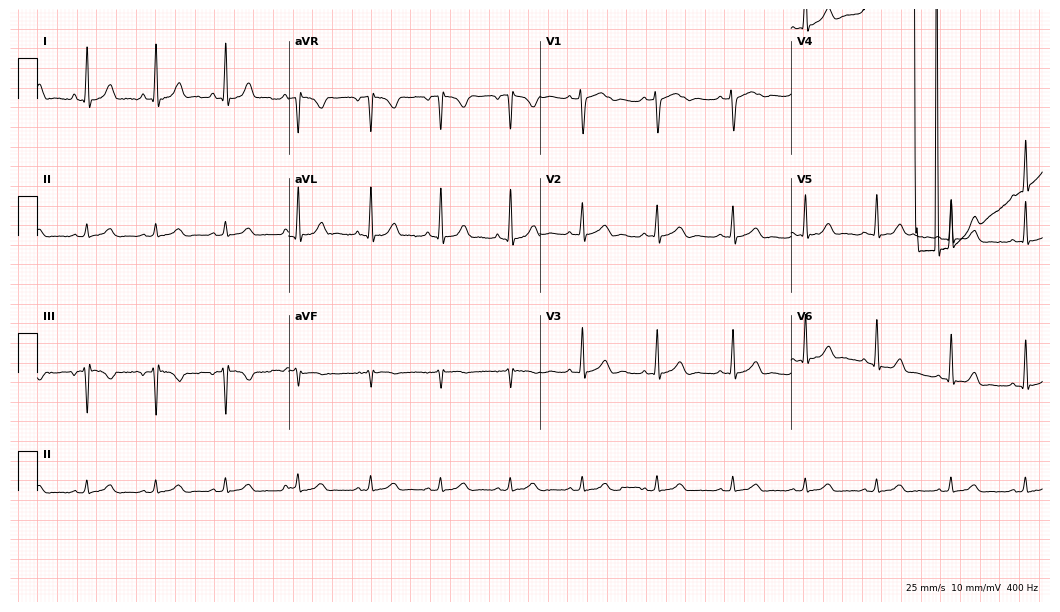
Resting 12-lead electrocardiogram. Patient: a female, 23 years old. None of these six findings is recorded: first-degree AV block, right bundle branch block, left bundle branch block, sinus bradycardia, atrial fibrillation, sinus tachycardia. Other findings, if any, are not listed.